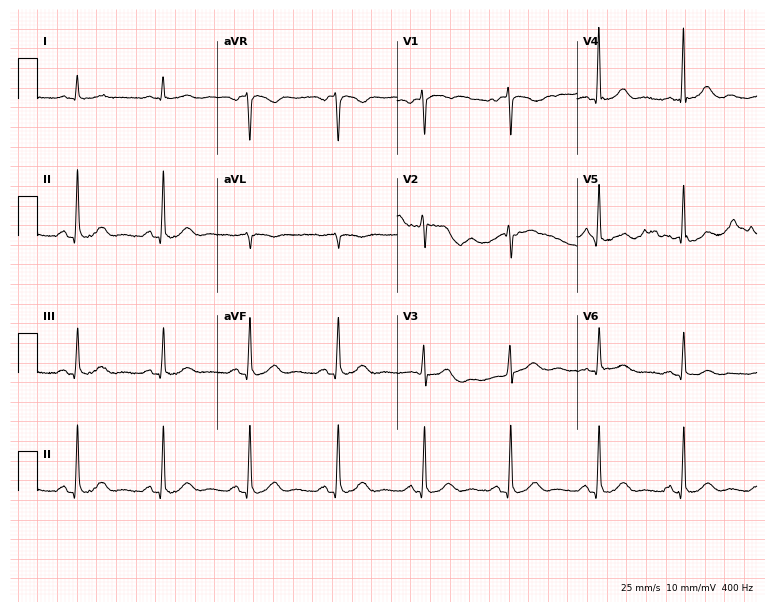
Resting 12-lead electrocardiogram. Patient: a female, 71 years old. None of these six findings is recorded: first-degree AV block, right bundle branch block, left bundle branch block, sinus bradycardia, atrial fibrillation, sinus tachycardia.